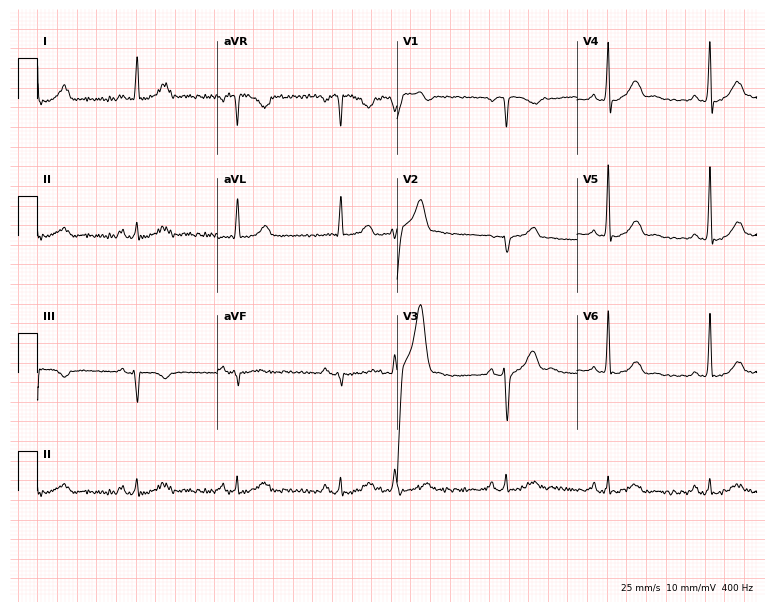
Electrocardiogram (7.3-second recording at 400 Hz), a male patient, 56 years old. Of the six screened findings (first-degree AV block, right bundle branch block, left bundle branch block, sinus bradycardia, atrial fibrillation, sinus tachycardia), none is recorded. Findings outside these six are not listed.